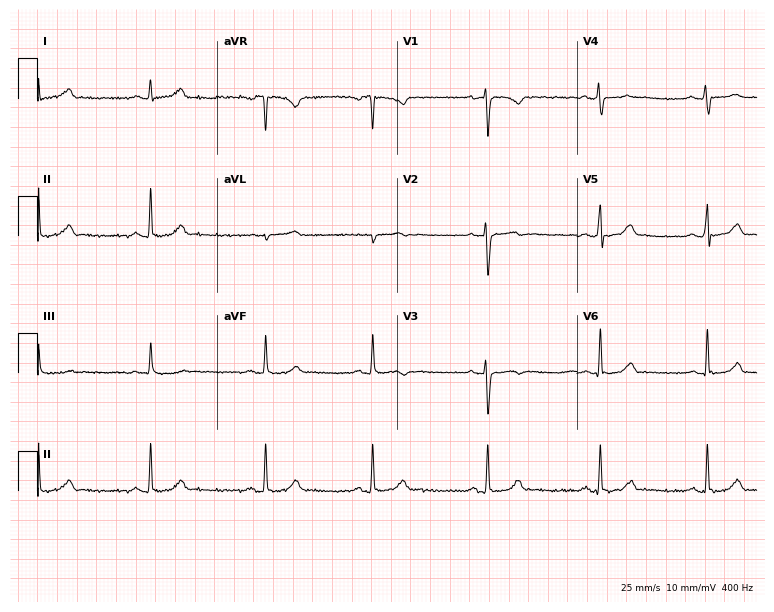
ECG (7.3-second recording at 400 Hz) — a female, 29 years old. Labelled as a normal ECG.